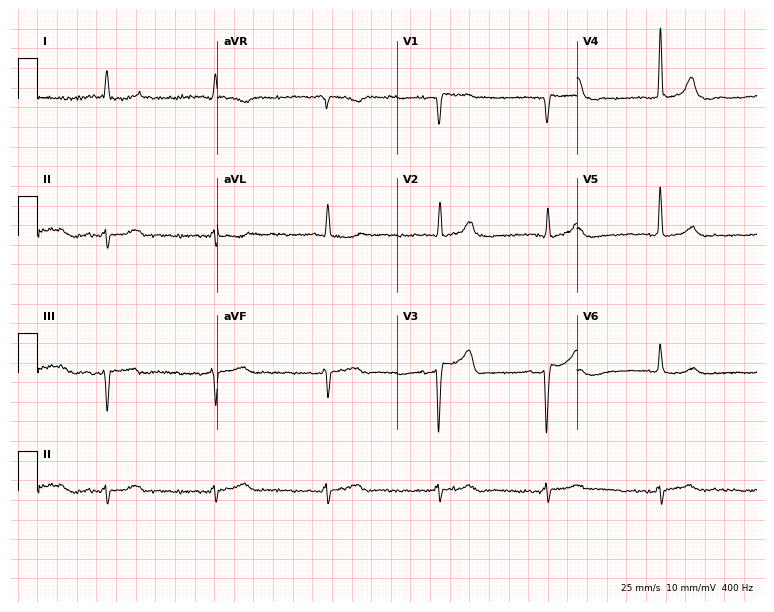
ECG — an 81-year-old male. Screened for six findings — first-degree AV block, right bundle branch block, left bundle branch block, sinus bradycardia, atrial fibrillation, sinus tachycardia — none is recorded.